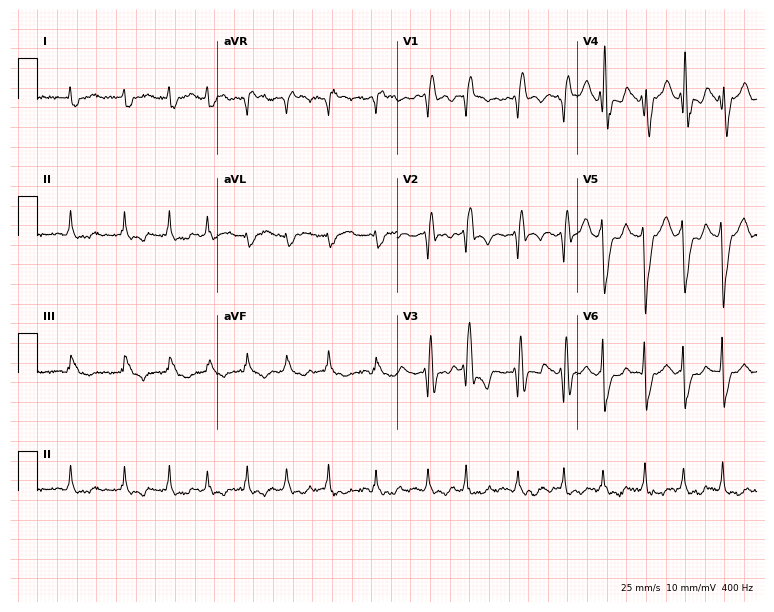
12-lead ECG from a male, 62 years old (7.3-second recording at 400 Hz). Shows right bundle branch block (RBBB), atrial fibrillation (AF).